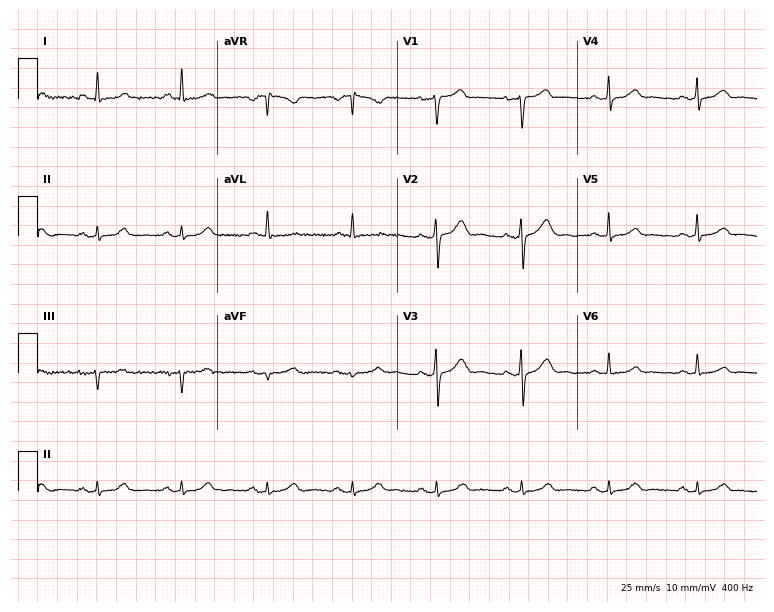
12-lead ECG from a 51-year-old female. Labelled as a normal ECG.